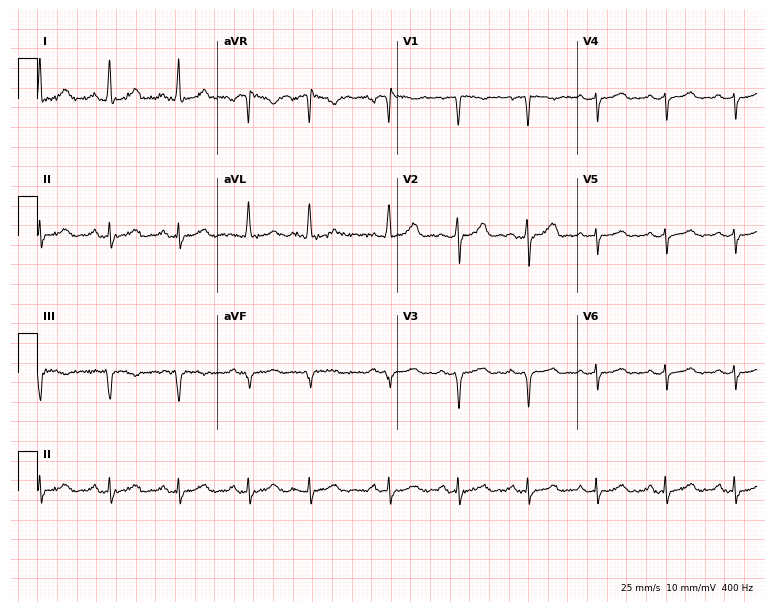
Resting 12-lead electrocardiogram (7.3-second recording at 400 Hz). Patient: a female, 36 years old. None of these six findings is recorded: first-degree AV block, right bundle branch block, left bundle branch block, sinus bradycardia, atrial fibrillation, sinus tachycardia. Only these six findings were labelled.